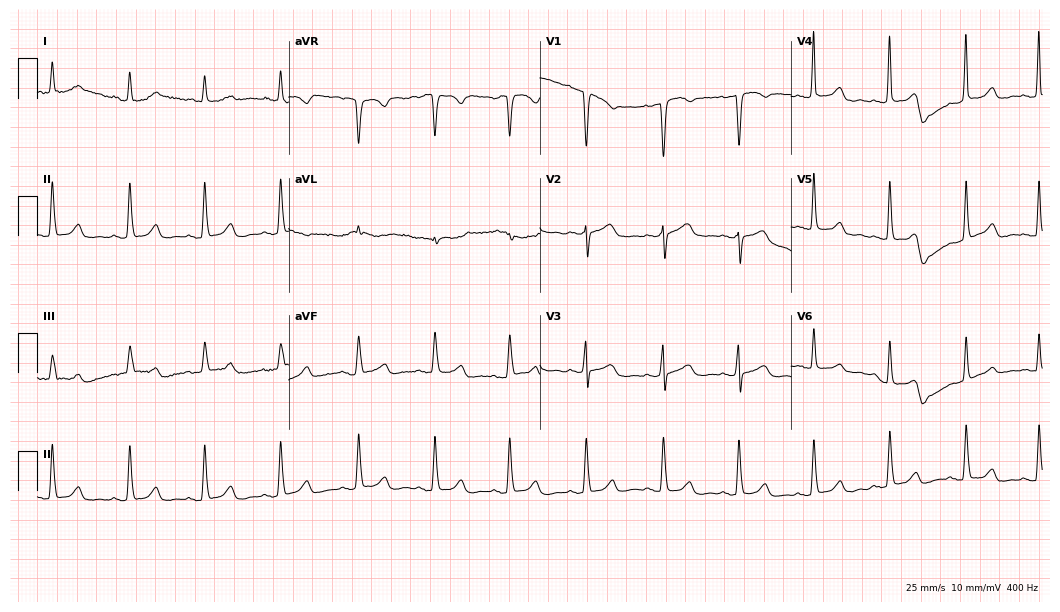
Resting 12-lead electrocardiogram (10.2-second recording at 400 Hz). Patient: a 57-year-old woman. None of these six findings is recorded: first-degree AV block, right bundle branch block, left bundle branch block, sinus bradycardia, atrial fibrillation, sinus tachycardia.